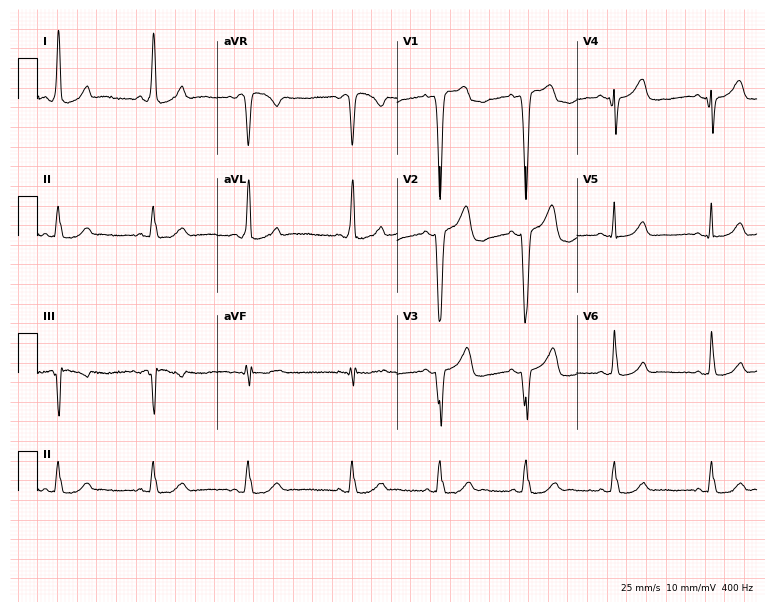
ECG — a 30-year-old female. Screened for six findings — first-degree AV block, right bundle branch block, left bundle branch block, sinus bradycardia, atrial fibrillation, sinus tachycardia — none is recorded.